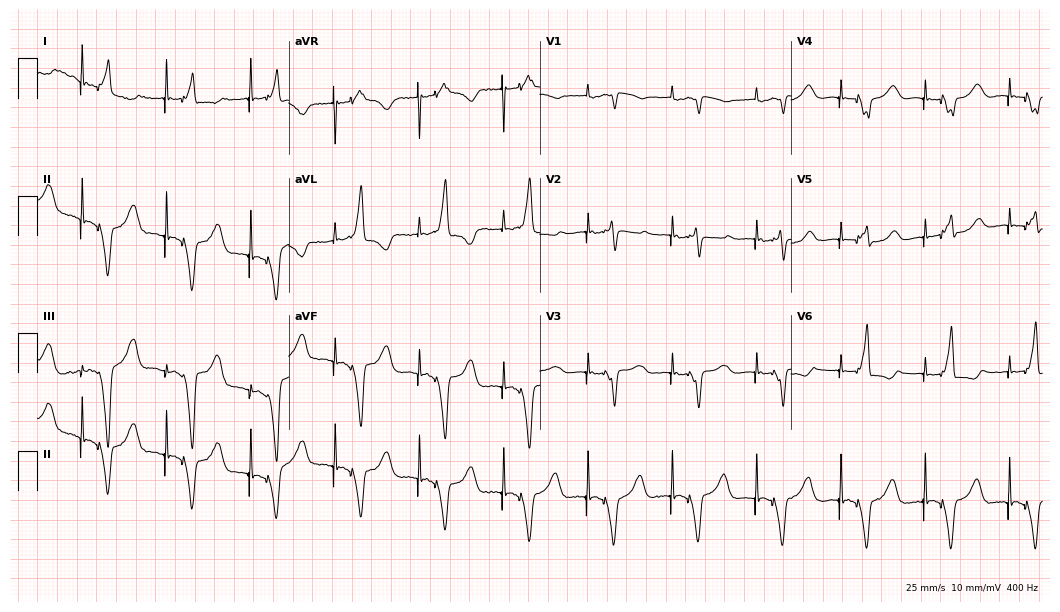
Electrocardiogram (10.2-second recording at 400 Hz), a 53-year-old woman. Of the six screened findings (first-degree AV block, right bundle branch block, left bundle branch block, sinus bradycardia, atrial fibrillation, sinus tachycardia), none is recorded.